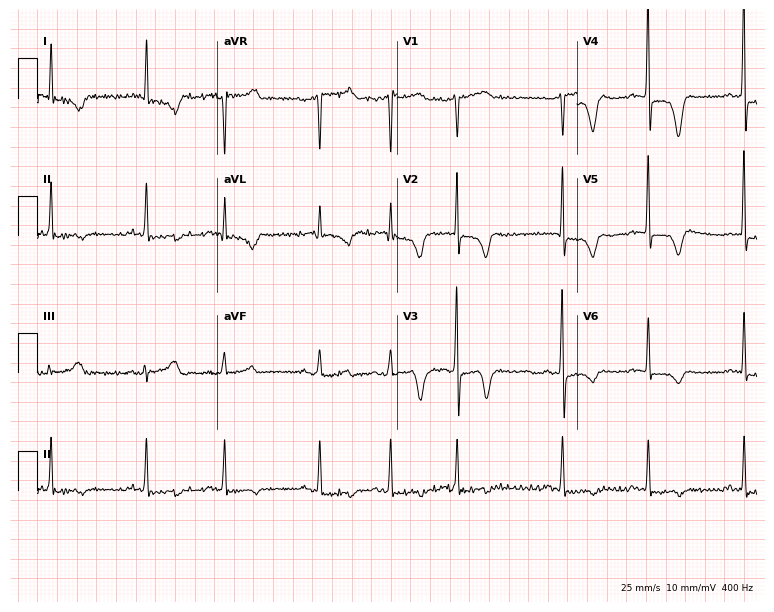
Standard 12-lead ECG recorded from a 77-year-old male patient. The tracing shows atrial fibrillation.